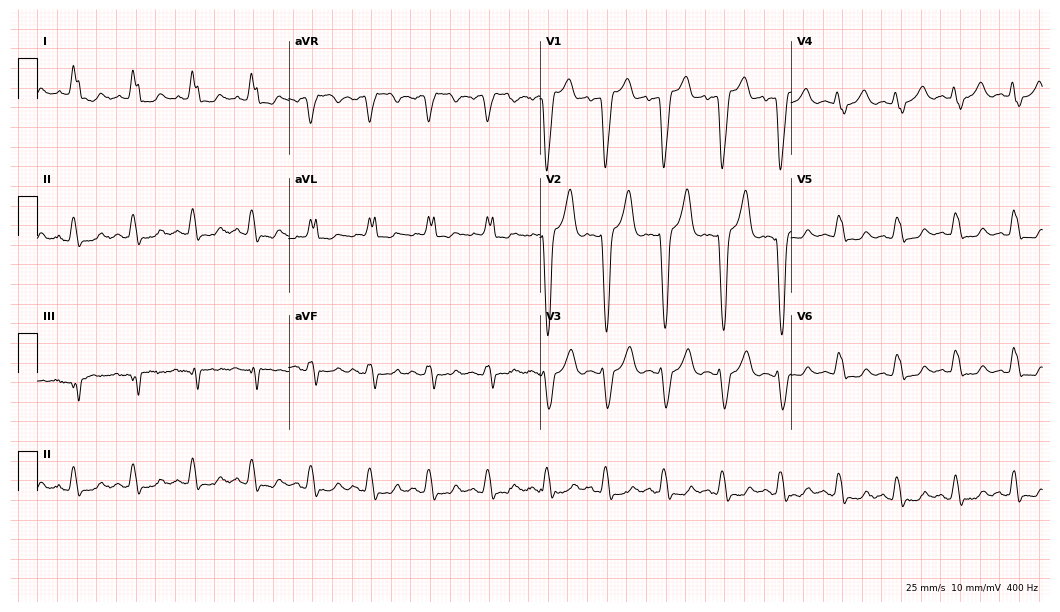
12-lead ECG (10.2-second recording at 400 Hz) from an 80-year-old female. Findings include left bundle branch block (LBBB).